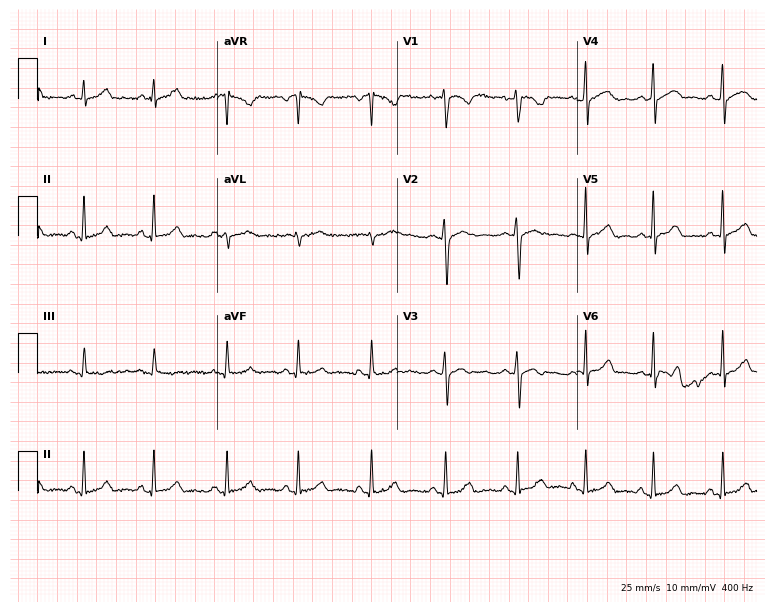
12-lead ECG from a 23-year-old woman. Labelled as a normal ECG.